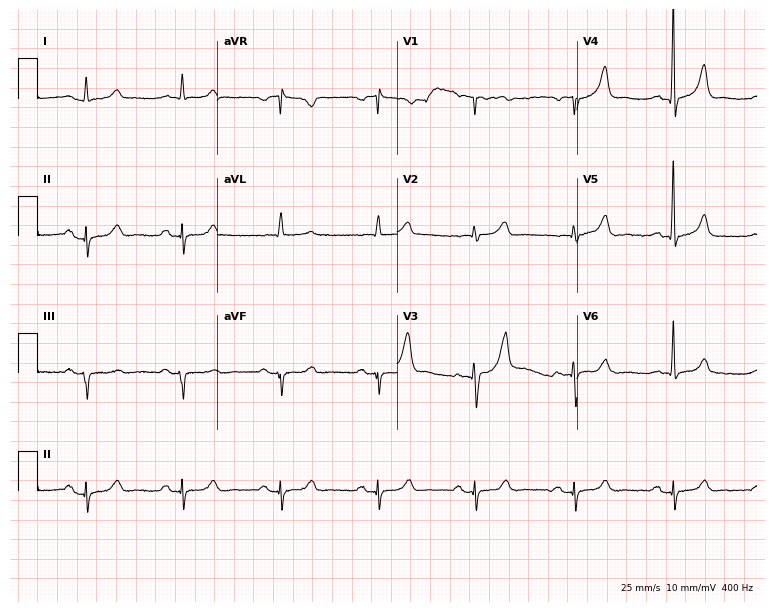
12-lead ECG from a male, 79 years old. Screened for six findings — first-degree AV block, right bundle branch block, left bundle branch block, sinus bradycardia, atrial fibrillation, sinus tachycardia — none is recorded. Other findings, if any, are not listed.